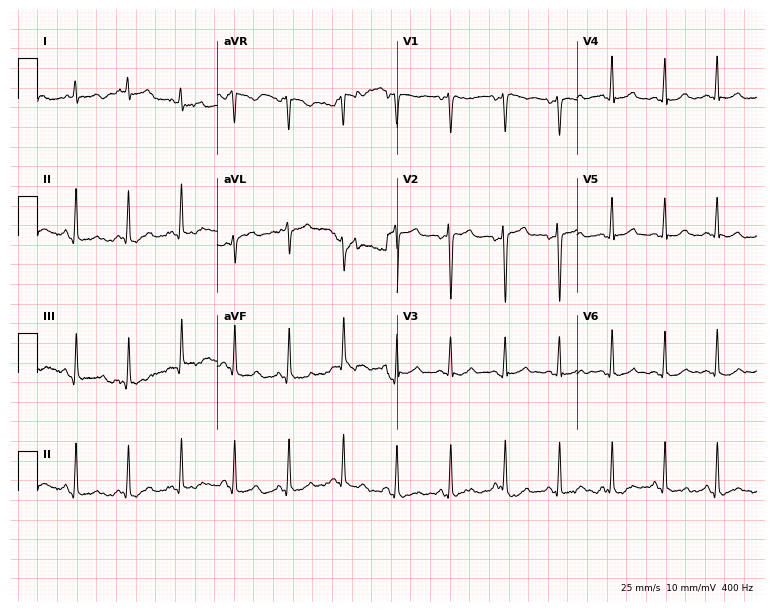
Electrocardiogram (7.3-second recording at 400 Hz), a 45-year-old female. Interpretation includes sinus tachycardia (a sinus rate of 100 beats per minute or more).